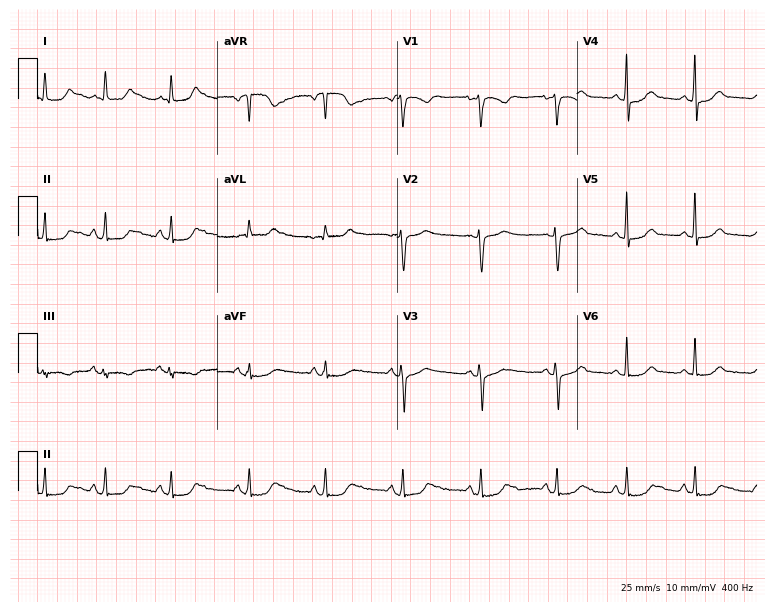
12-lead ECG from a female patient, 37 years old. No first-degree AV block, right bundle branch block, left bundle branch block, sinus bradycardia, atrial fibrillation or sinus tachycardia recorded for this tracing. Other findings, if any, are not listed.